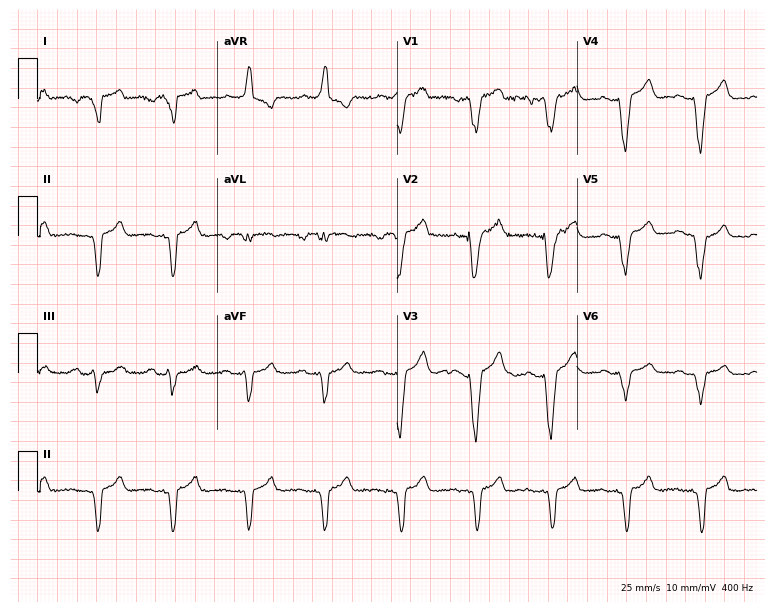
Electrocardiogram, a female, 54 years old. Of the six screened findings (first-degree AV block, right bundle branch block (RBBB), left bundle branch block (LBBB), sinus bradycardia, atrial fibrillation (AF), sinus tachycardia), none is recorded.